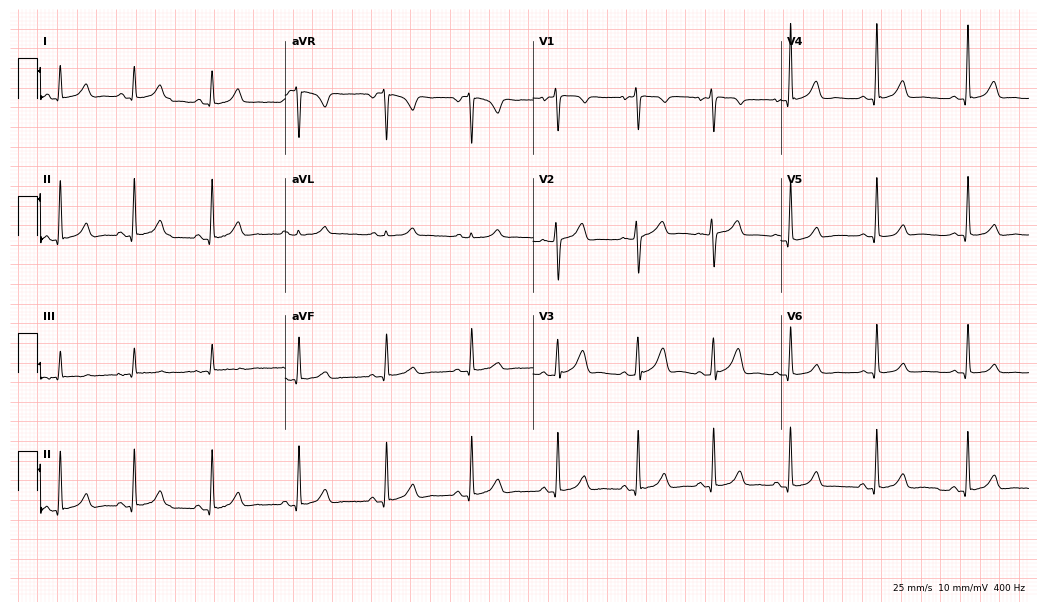
Standard 12-lead ECG recorded from a woman, 27 years old (10.1-second recording at 400 Hz). Read as a normal ECG.